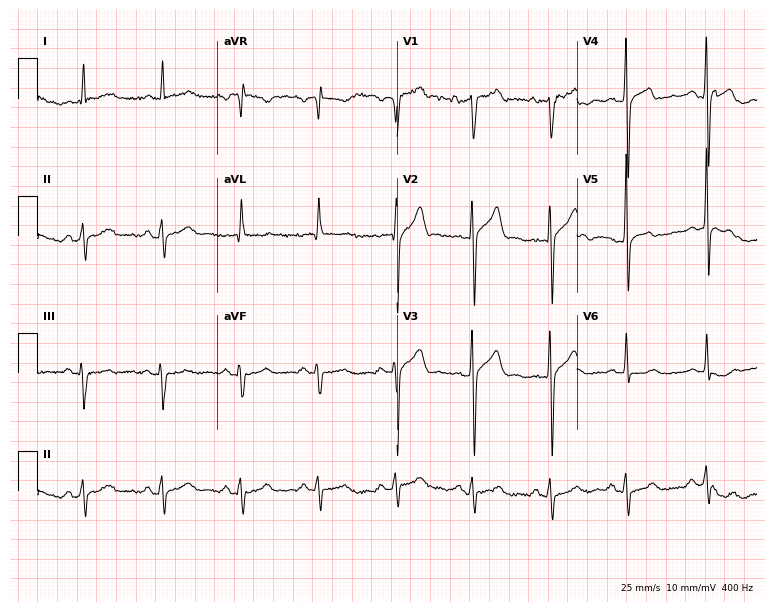
Standard 12-lead ECG recorded from a female patient, 83 years old (7.3-second recording at 400 Hz). None of these six findings is recorded: first-degree AV block, right bundle branch block, left bundle branch block, sinus bradycardia, atrial fibrillation, sinus tachycardia.